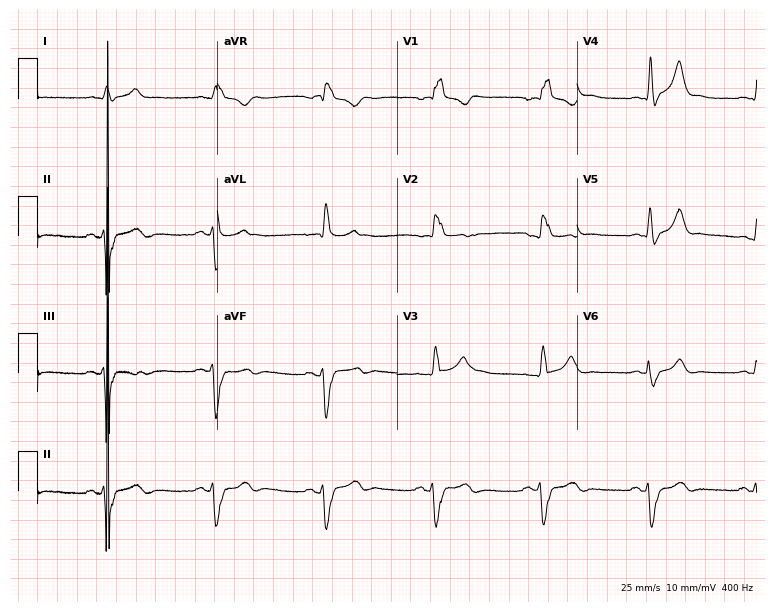
12-lead ECG from a man, 53 years old. Findings include right bundle branch block.